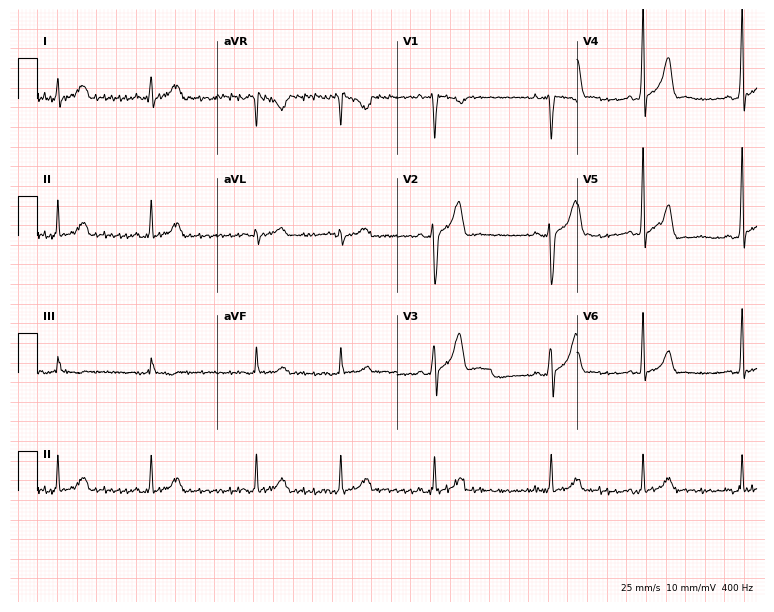
12-lead ECG from a male patient, 24 years old (7.3-second recording at 400 Hz). No first-degree AV block, right bundle branch block (RBBB), left bundle branch block (LBBB), sinus bradycardia, atrial fibrillation (AF) or sinus tachycardia recorded for this tracing. Other findings, if any, are not listed.